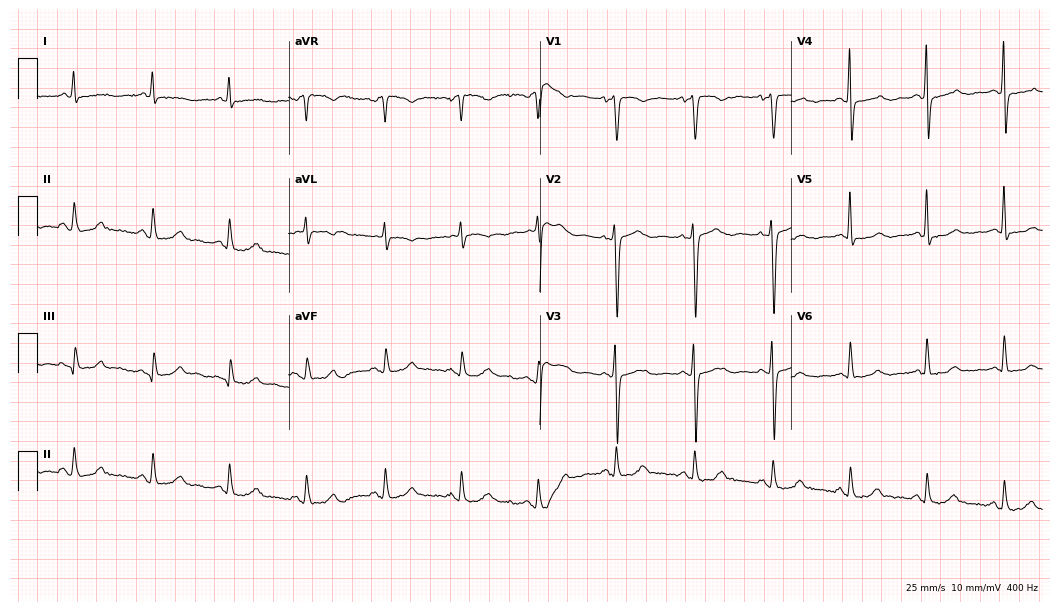
12-lead ECG (10.2-second recording at 400 Hz) from a 46-year-old woman. Screened for six findings — first-degree AV block, right bundle branch block (RBBB), left bundle branch block (LBBB), sinus bradycardia, atrial fibrillation (AF), sinus tachycardia — none is recorded.